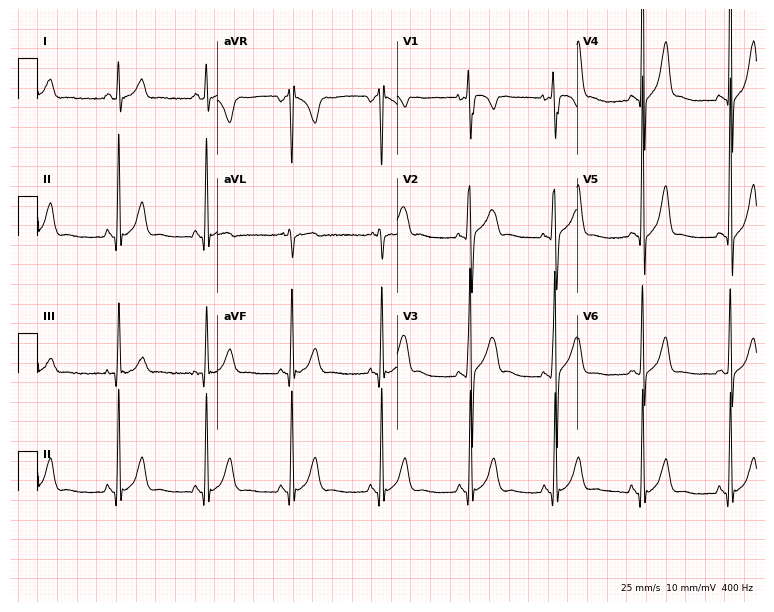
12-lead ECG from an 18-year-old male patient (7.3-second recording at 400 Hz). Recorded interpretation: within normal limits.